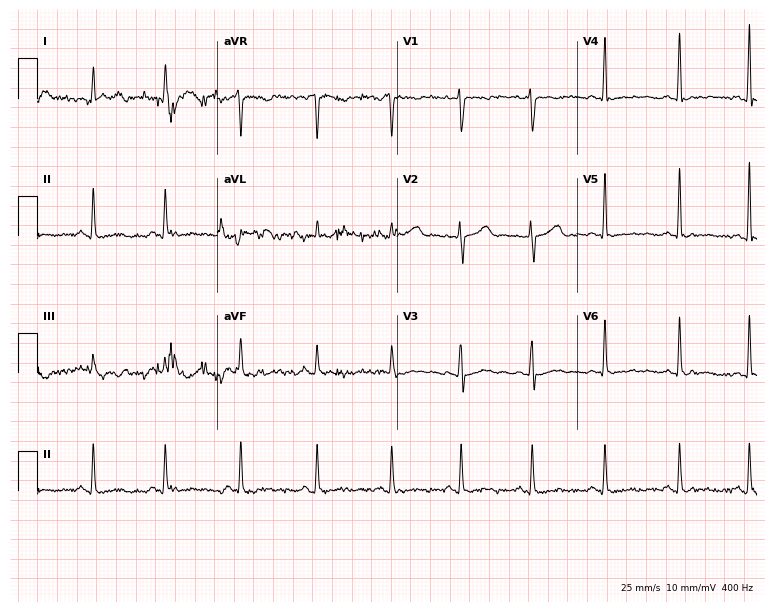
12-lead ECG from a 38-year-old woman (7.3-second recording at 400 Hz). No first-degree AV block, right bundle branch block (RBBB), left bundle branch block (LBBB), sinus bradycardia, atrial fibrillation (AF) or sinus tachycardia recorded for this tracing.